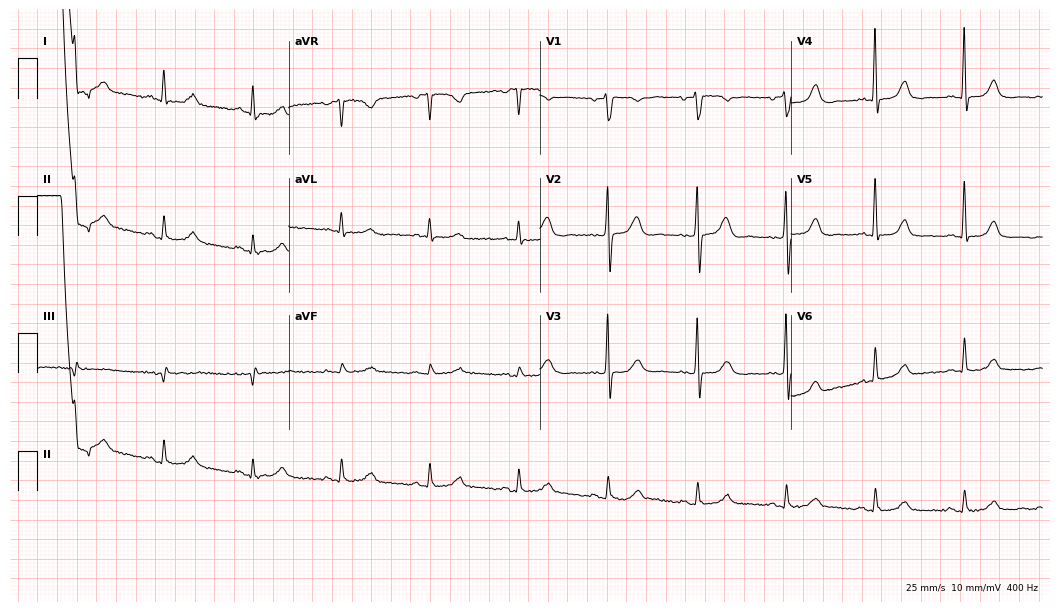
Resting 12-lead electrocardiogram (10.2-second recording at 400 Hz). Patient: a female, 76 years old. Read as a normal ECG.